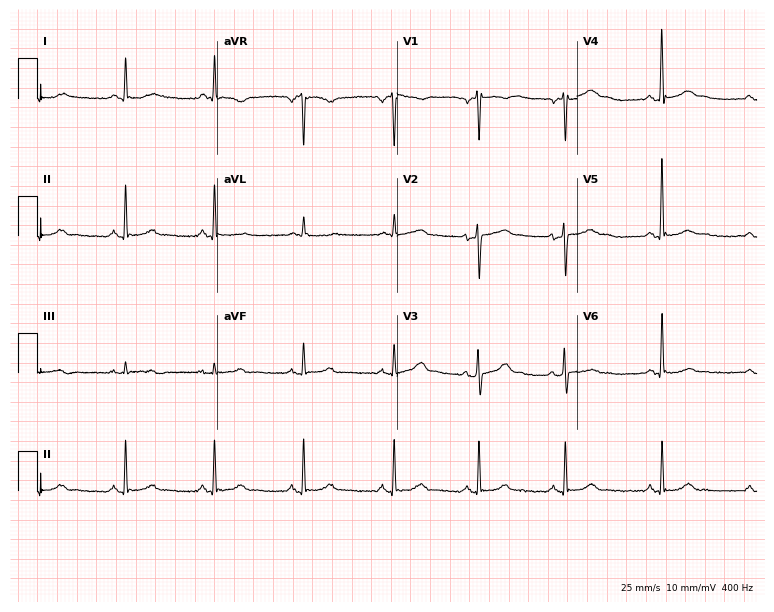
ECG (7.3-second recording at 400 Hz) — a 63-year-old male patient. Screened for six findings — first-degree AV block, right bundle branch block, left bundle branch block, sinus bradycardia, atrial fibrillation, sinus tachycardia — none is recorded. Findings outside these six are not listed.